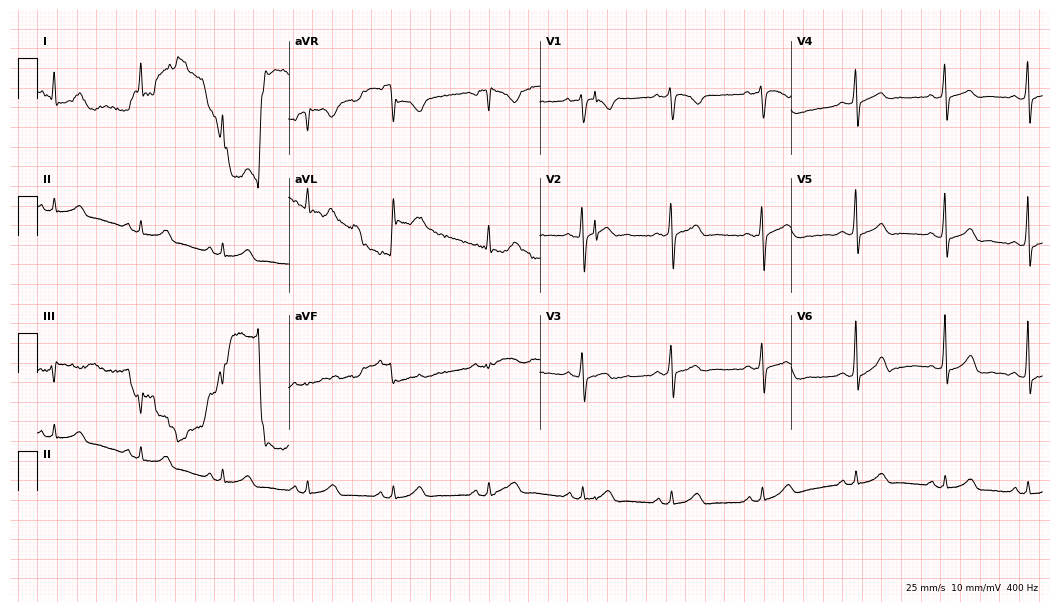
12-lead ECG from a male patient, 29 years old. Labelled as a normal ECG.